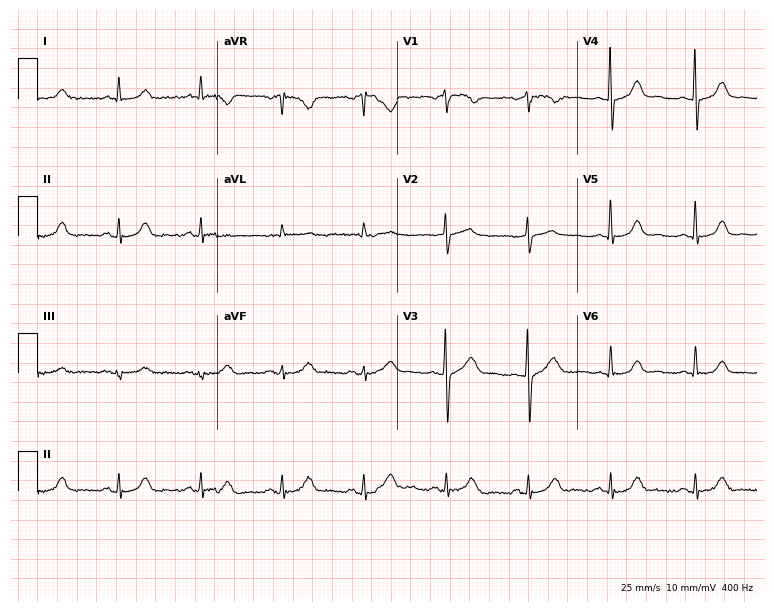
Electrocardiogram (7.3-second recording at 400 Hz), a male, 59 years old. Overall reading on record: normal ECG.